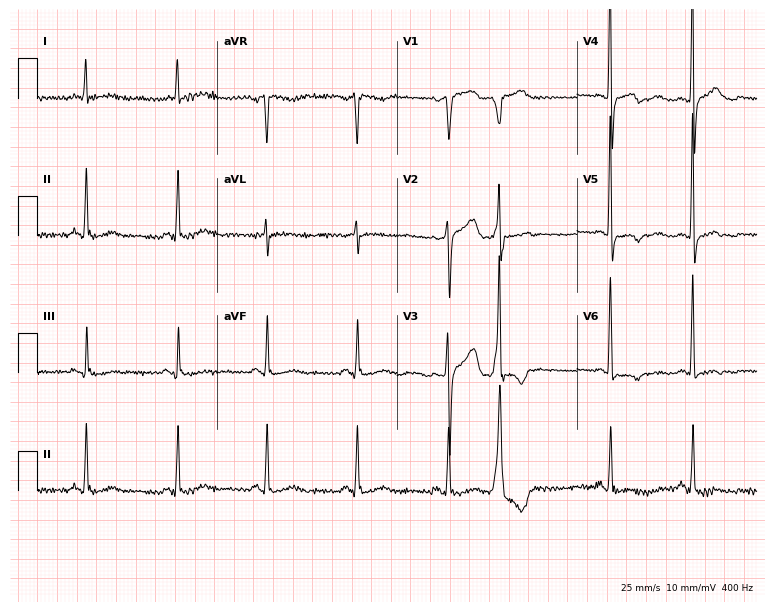
ECG — a woman, 55 years old. Screened for six findings — first-degree AV block, right bundle branch block (RBBB), left bundle branch block (LBBB), sinus bradycardia, atrial fibrillation (AF), sinus tachycardia — none is recorded. Findings outside these six are not listed.